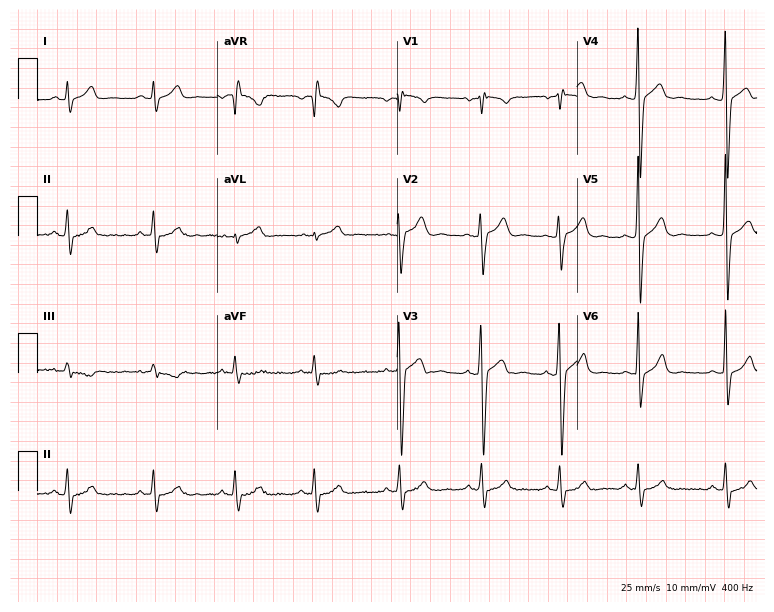
12-lead ECG from a man, 18 years old. No first-degree AV block, right bundle branch block, left bundle branch block, sinus bradycardia, atrial fibrillation or sinus tachycardia recorded for this tracing. Other findings, if any, are not listed.